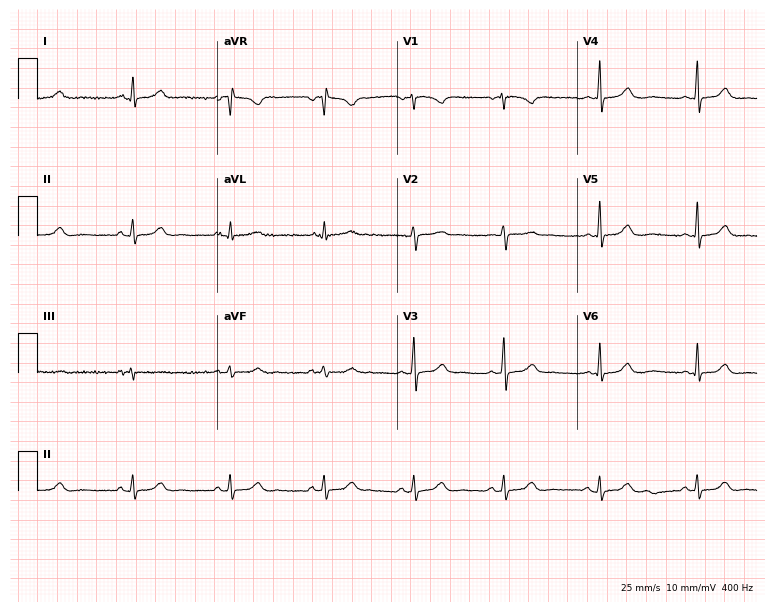
Resting 12-lead electrocardiogram (7.3-second recording at 400 Hz). Patient: a 23-year-old female. Read as a normal ECG.